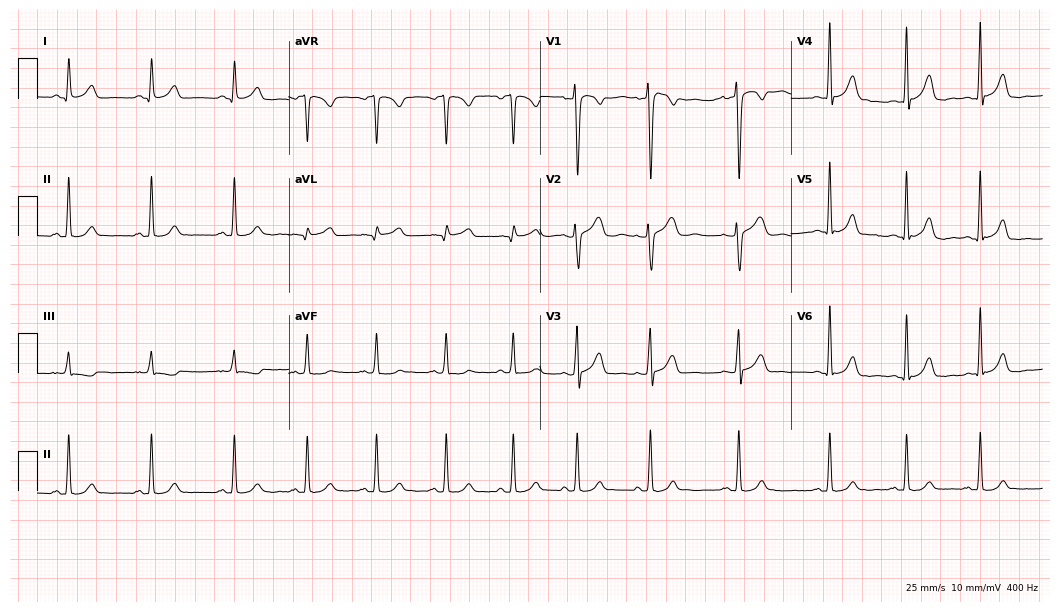
12-lead ECG from a female patient, 28 years old. Recorded interpretation: within normal limits.